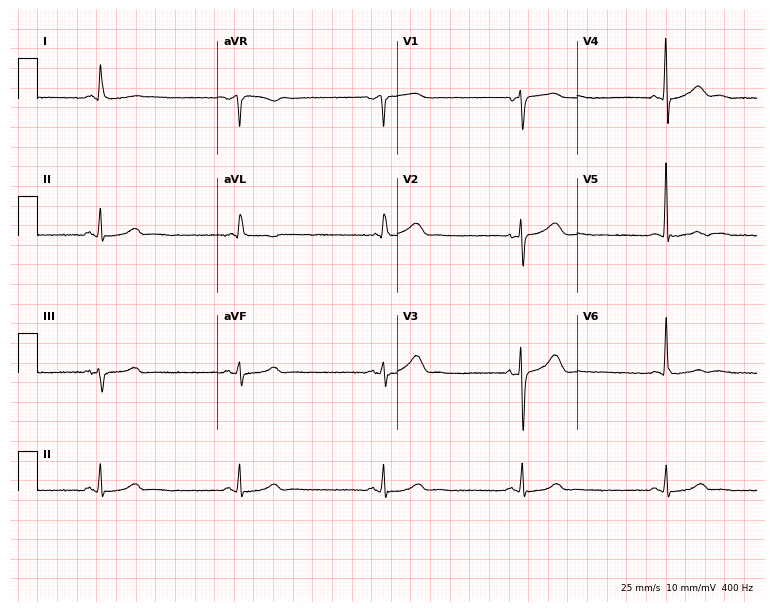
12-lead ECG from a woman, 77 years old (7.3-second recording at 400 Hz). Shows sinus bradycardia (a sinus rate of 50 beats per minute or less).